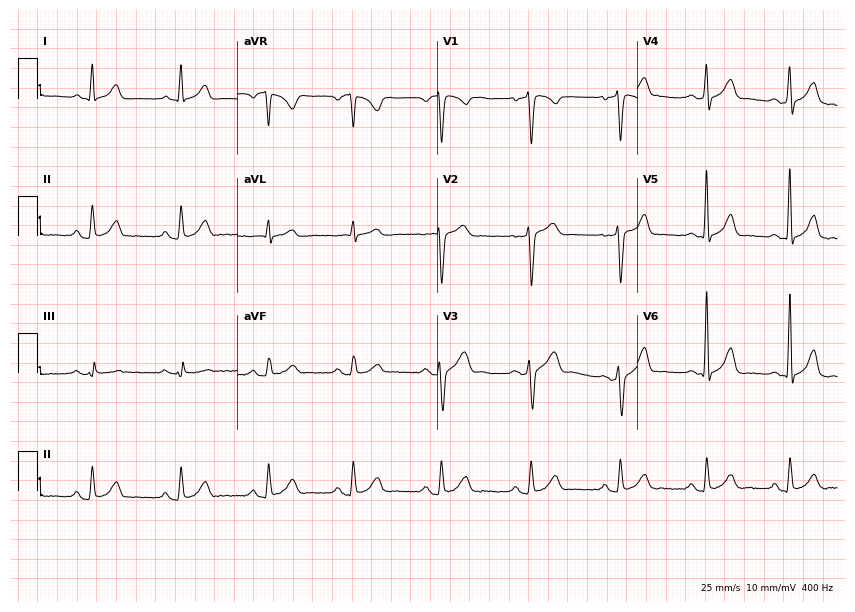
12-lead ECG from a 77-year-old male (8.2-second recording at 400 Hz). No first-degree AV block, right bundle branch block, left bundle branch block, sinus bradycardia, atrial fibrillation or sinus tachycardia recorded for this tracing. Other findings, if any, are not listed.